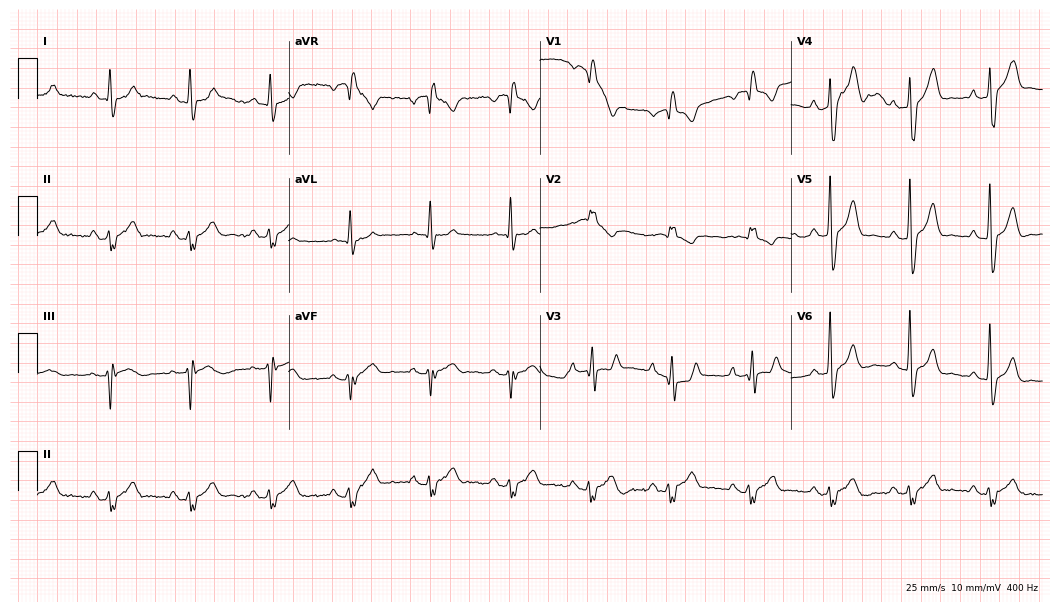
ECG (10.2-second recording at 400 Hz) — a man, 54 years old. Screened for six findings — first-degree AV block, right bundle branch block, left bundle branch block, sinus bradycardia, atrial fibrillation, sinus tachycardia — none is recorded. Only these six findings were labelled.